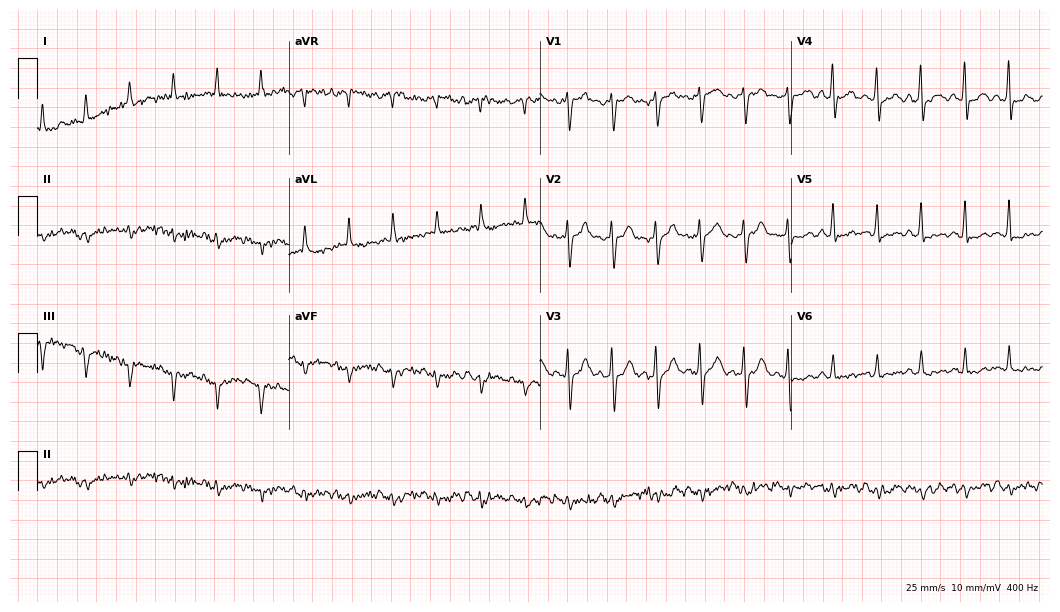
Resting 12-lead electrocardiogram (10.2-second recording at 400 Hz). Patient: an 81-year-old female. The tracing shows sinus tachycardia (a sinus rate of 100 beats per minute or more).